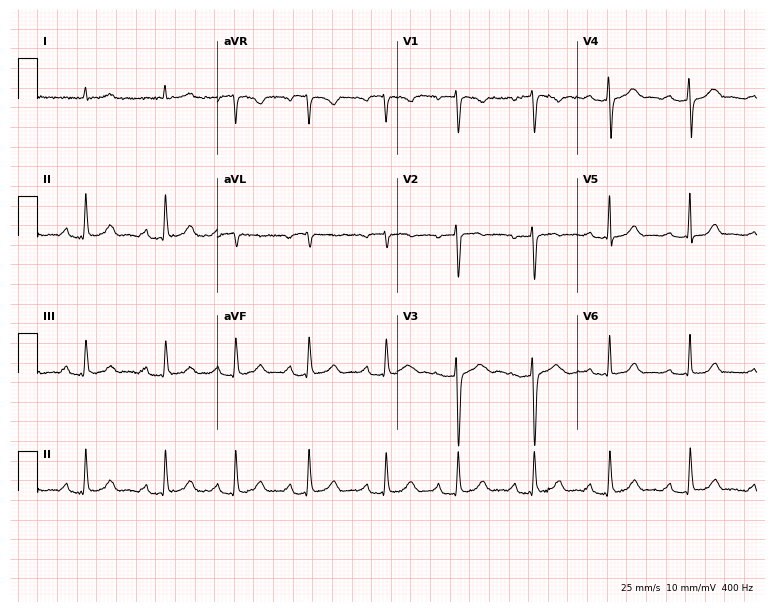
12-lead ECG from a female patient, 31 years old. Findings include first-degree AV block.